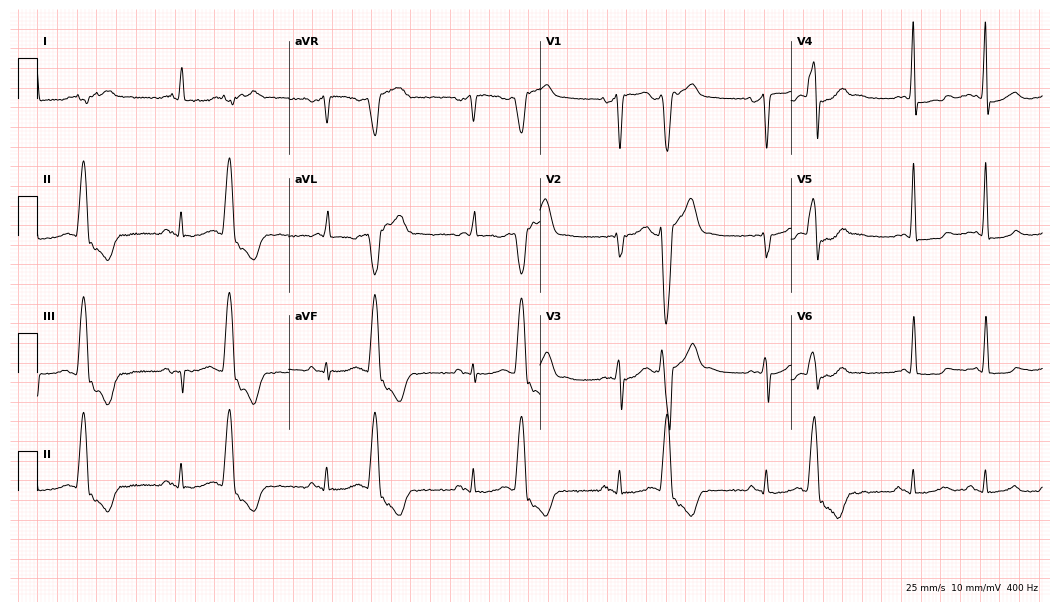
12-lead ECG from a man, 79 years old. Screened for six findings — first-degree AV block, right bundle branch block, left bundle branch block, sinus bradycardia, atrial fibrillation, sinus tachycardia — none is recorded. Findings outside these six are not listed.